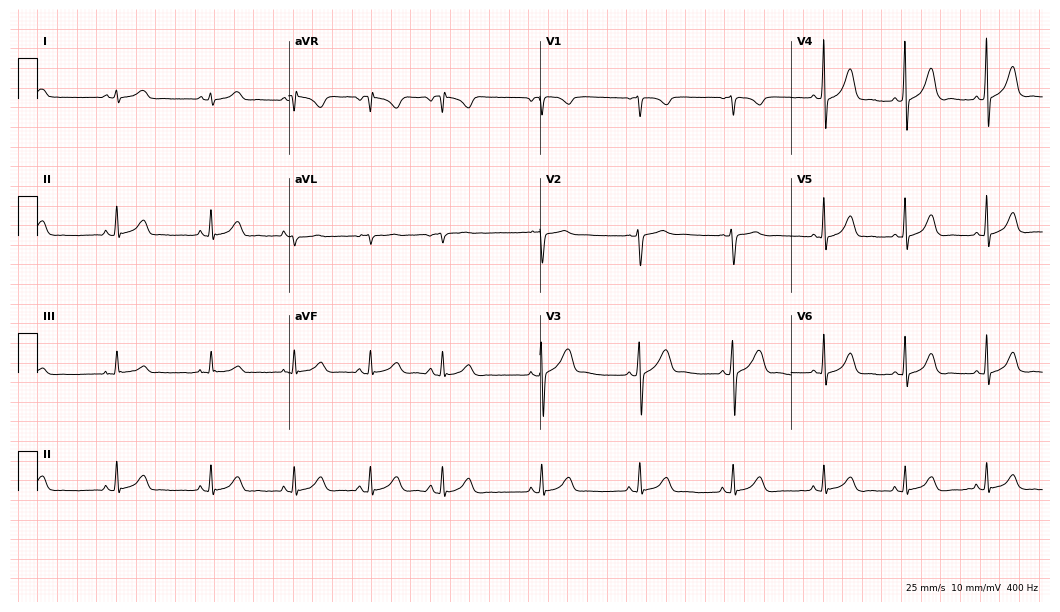
12-lead ECG from a 22-year-old female patient. Recorded interpretation: within normal limits.